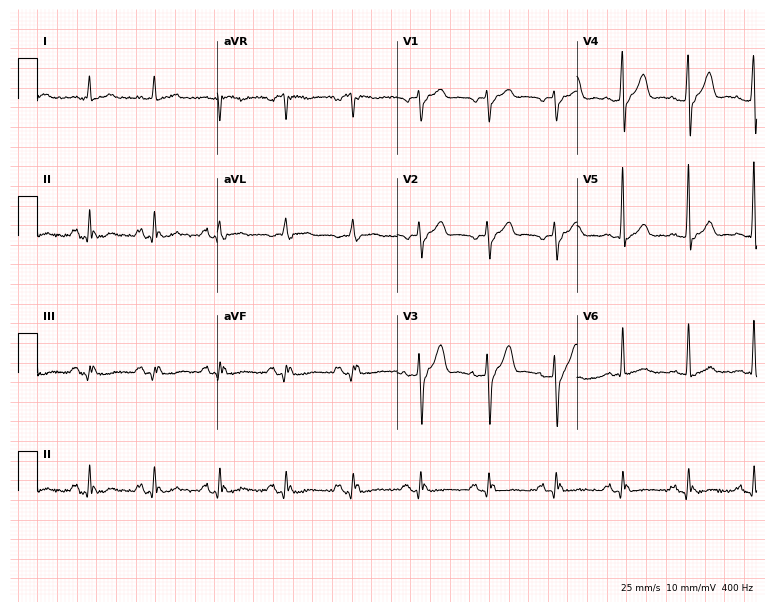
ECG (7.3-second recording at 400 Hz) — a male patient, 71 years old. Screened for six findings — first-degree AV block, right bundle branch block, left bundle branch block, sinus bradycardia, atrial fibrillation, sinus tachycardia — none is recorded. Findings outside these six are not listed.